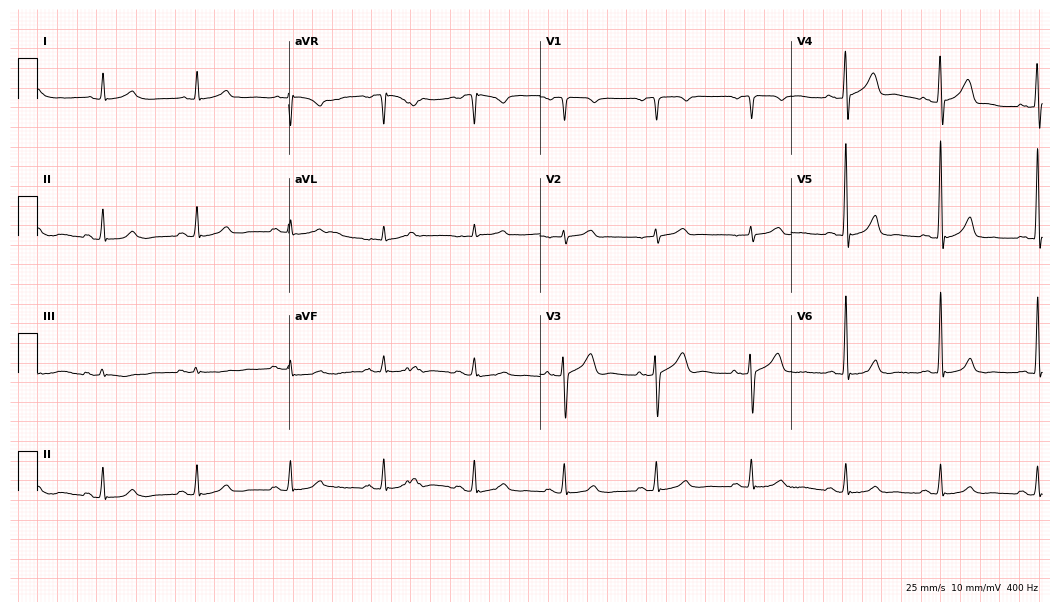
12-lead ECG (10.2-second recording at 400 Hz) from a male patient, 72 years old. Labelled as a normal ECG.